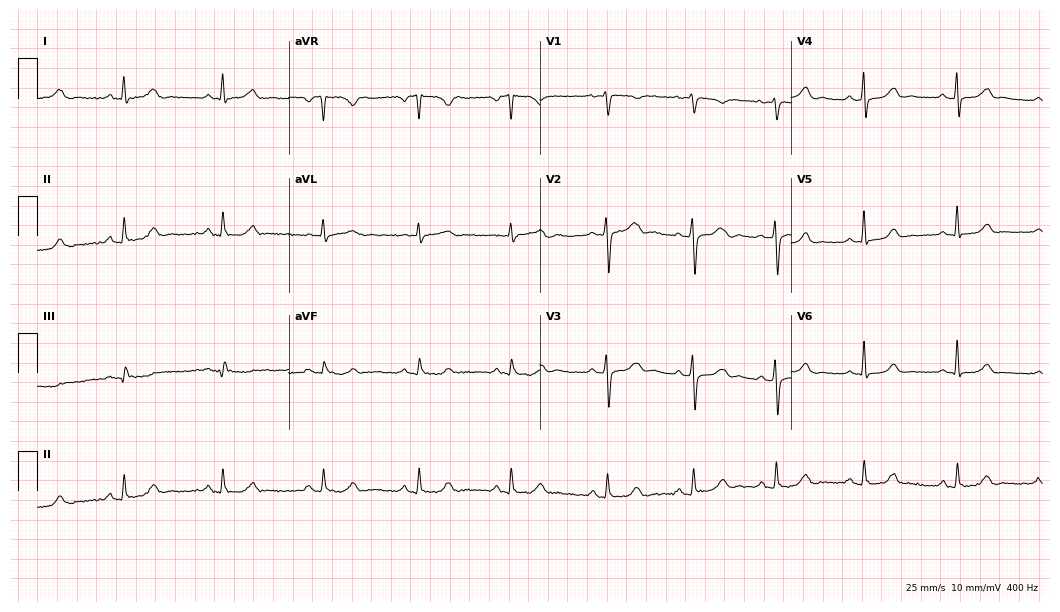
Standard 12-lead ECG recorded from a 35-year-old woman. None of these six findings is recorded: first-degree AV block, right bundle branch block (RBBB), left bundle branch block (LBBB), sinus bradycardia, atrial fibrillation (AF), sinus tachycardia. Findings outside these six are not listed.